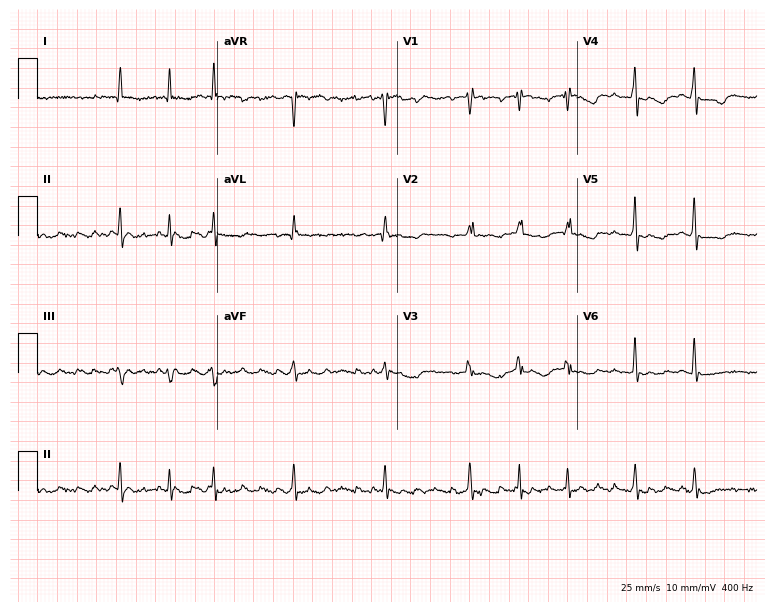
12-lead ECG (7.3-second recording at 400 Hz) from a woman, 62 years old. Findings include atrial fibrillation.